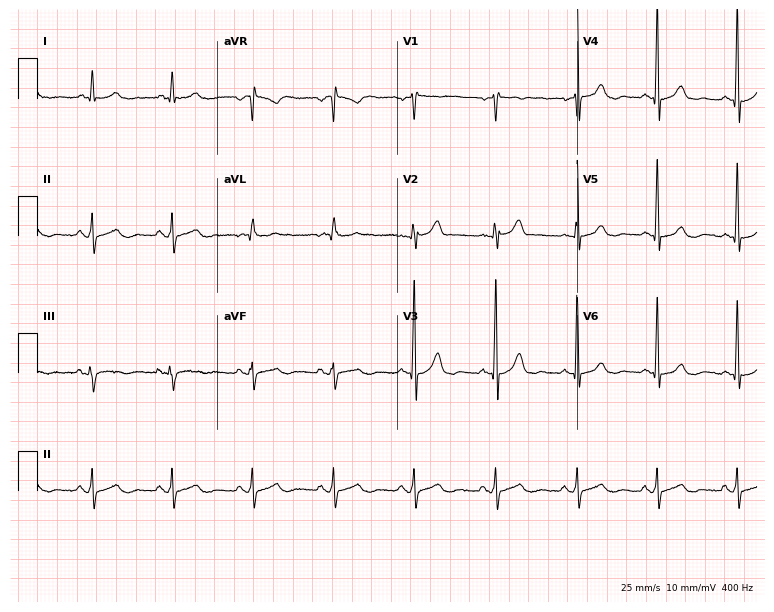
Standard 12-lead ECG recorded from a 50-year-old male (7.3-second recording at 400 Hz). Read as a normal ECG.